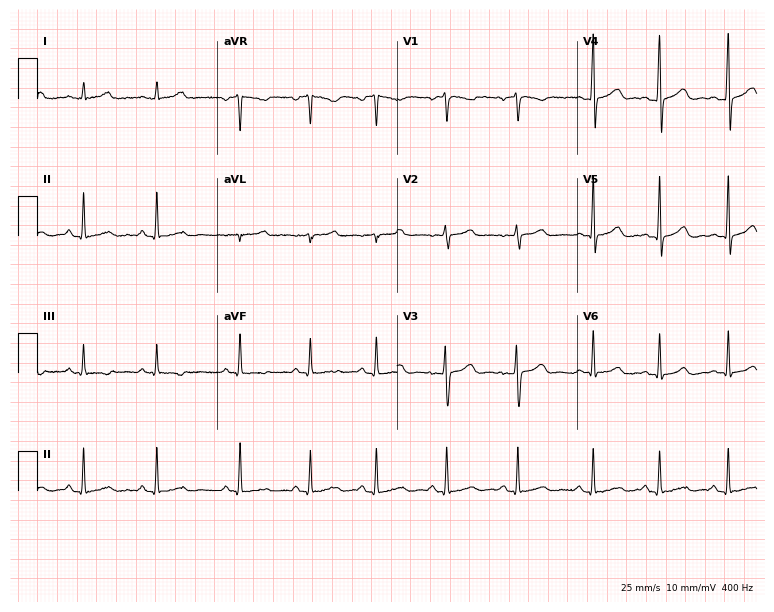
ECG (7.3-second recording at 400 Hz) — a 19-year-old female. Labelled as a normal ECG.